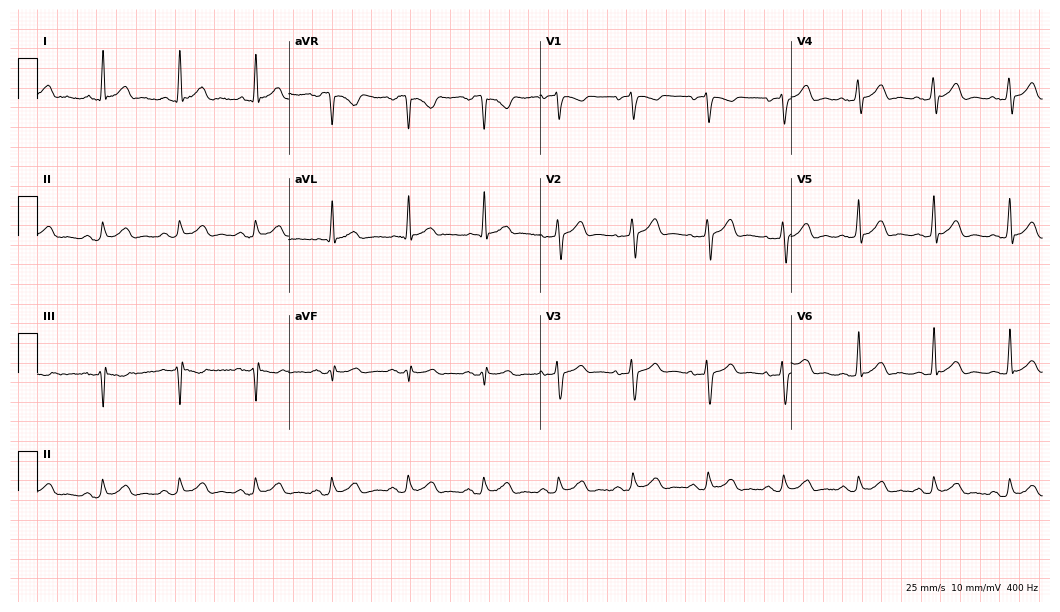
Electrocardiogram, a 49-year-old male. Overall reading on record: normal ECG.